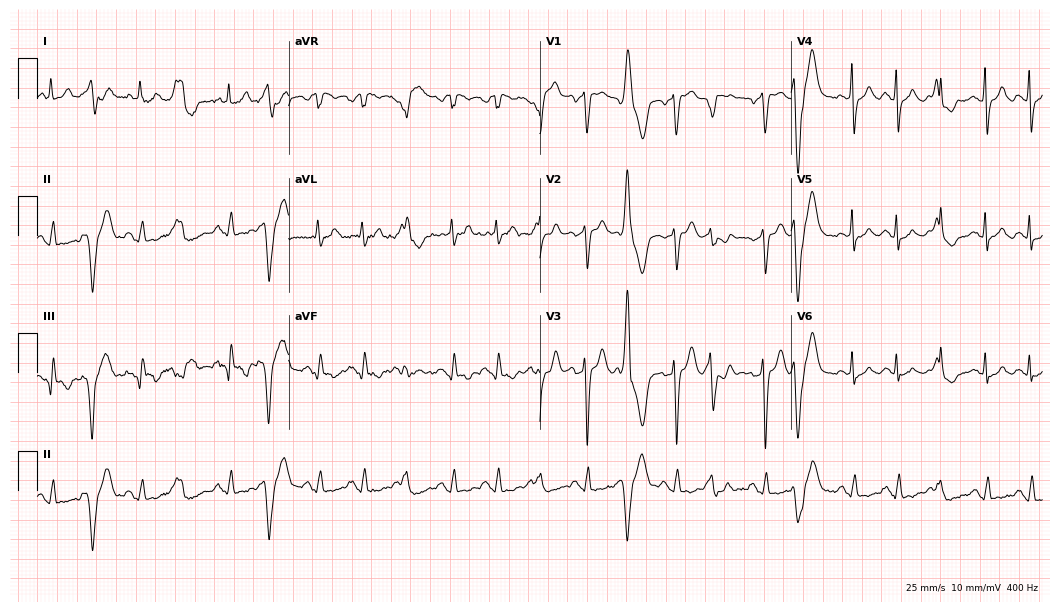
ECG — a 62-year-old woman. Screened for six findings — first-degree AV block, right bundle branch block (RBBB), left bundle branch block (LBBB), sinus bradycardia, atrial fibrillation (AF), sinus tachycardia — none is recorded. Findings outside these six are not listed.